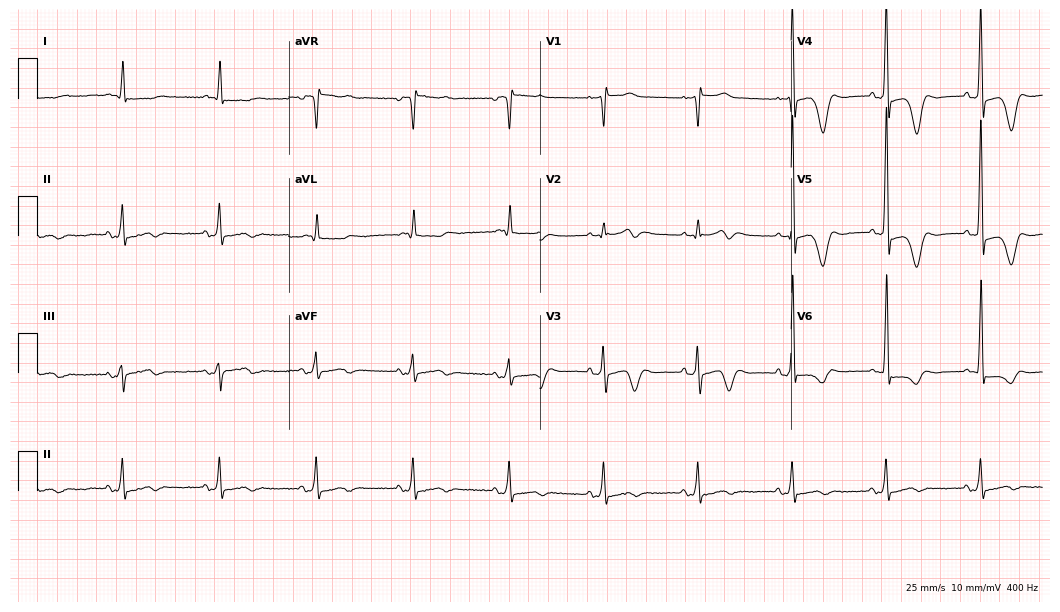
Resting 12-lead electrocardiogram. Patient: a 70-year-old male. None of these six findings is recorded: first-degree AV block, right bundle branch block (RBBB), left bundle branch block (LBBB), sinus bradycardia, atrial fibrillation (AF), sinus tachycardia.